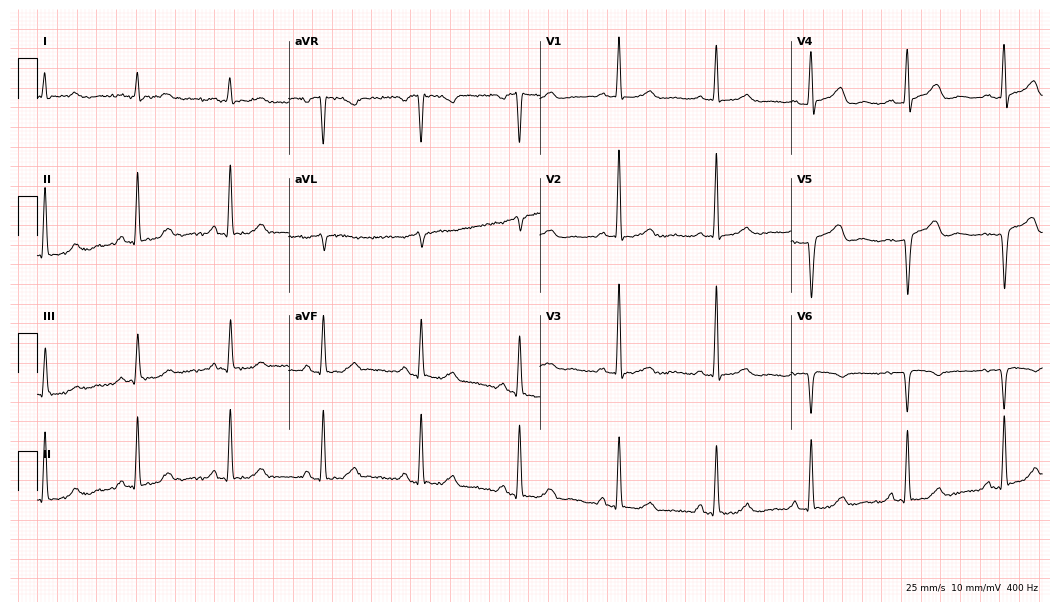
12-lead ECG from a 63-year-old man (10.2-second recording at 400 Hz). No first-degree AV block, right bundle branch block, left bundle branch block, sinus bradycardia, atrial fibrillation or sinus tachycardia recorded for this tracing.